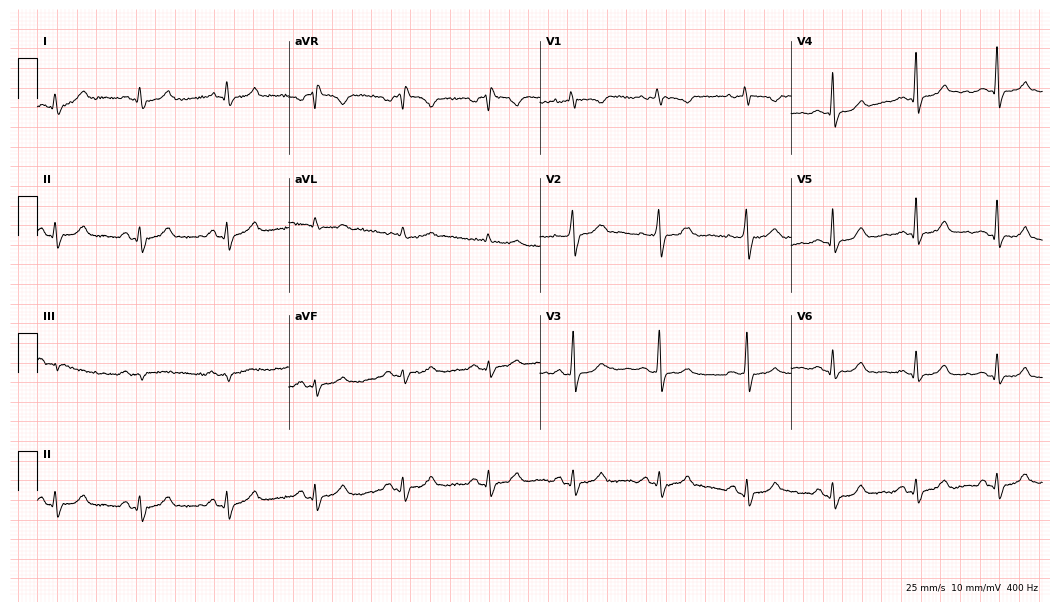
ECG (10.2-second recording at 400 Hz) — a 50-year-old female patient. Screened for six findings — first-degree AV block, right bundle branch block, left bundle branch block, sinus bradycardia, atrial fibrillation, sinus tachycardia — none is recorded. Only these six findings were labelled.